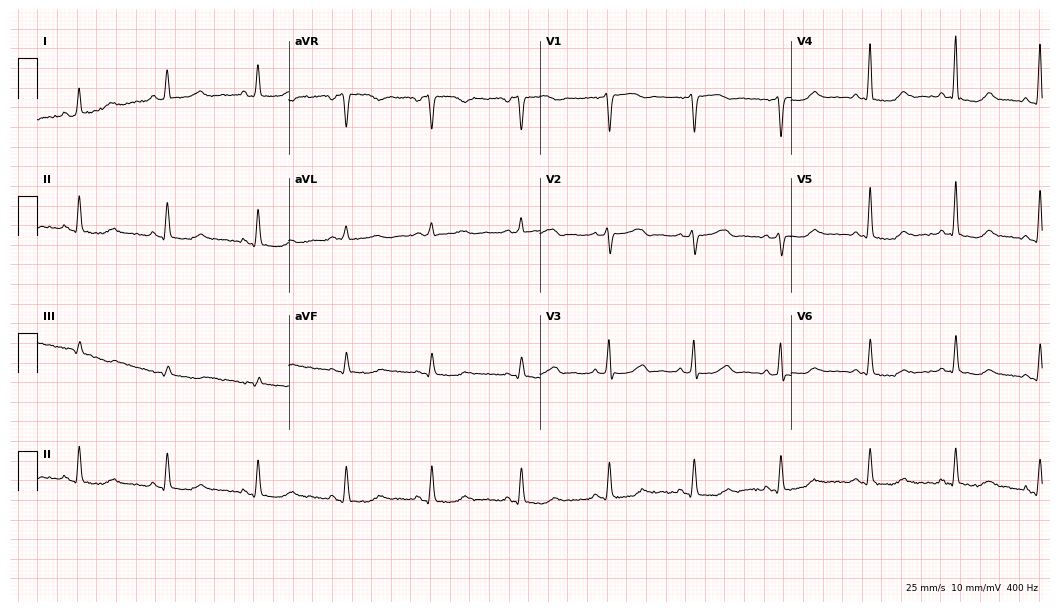
12-lead ECG from a 68-year-old female. No first-degree AV block, right bundle branch block, left bundle branch block, sinus bradycardia, atrial fibrillation or sinus tachycardia recorded for this tracing.